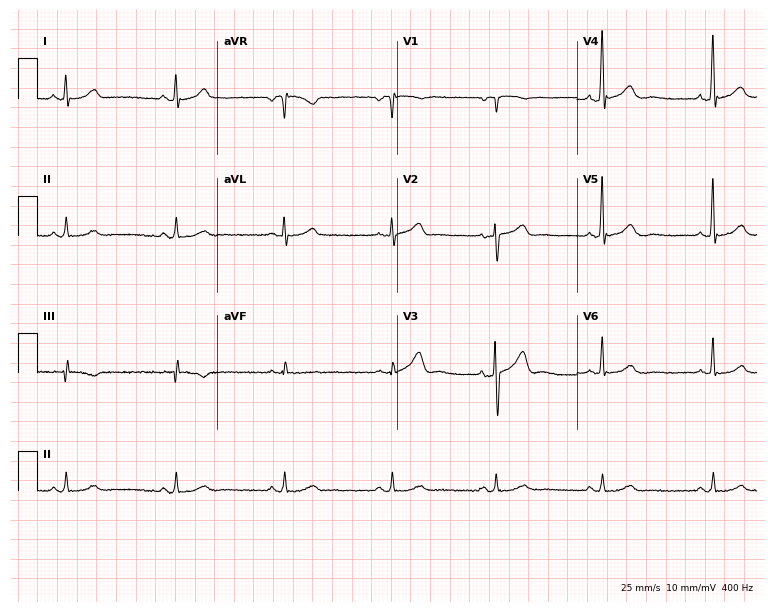
Electrocardiogram, a male patient, 51 years old. Of the six screened findings (first-degree AV block, right bundle branch block (RBBB), left bundle branch block (LBBB), sinus bradycardia, atrial fibrillation (AF), sinus tachycardia), none is recorded. Other findings, if any, are not listed.